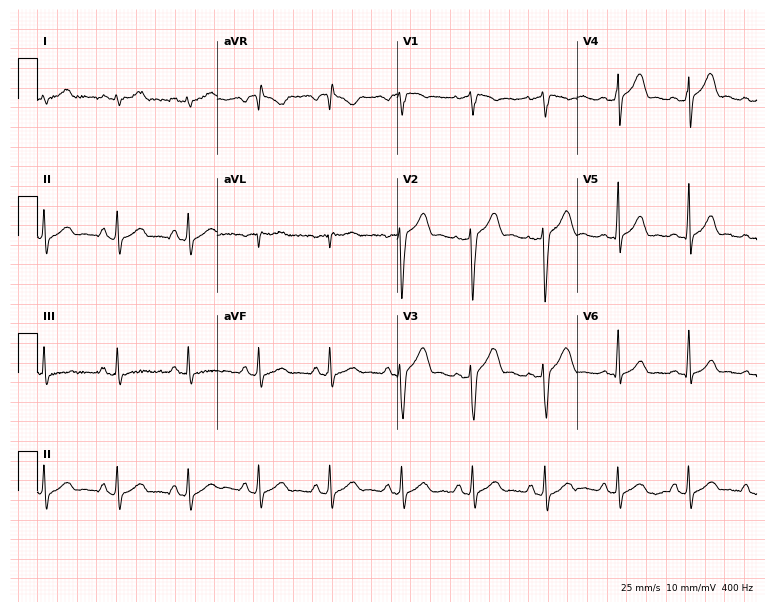
12-lead ECG from a male patient, 26 years old. Recorded interpretation: within normal limits.